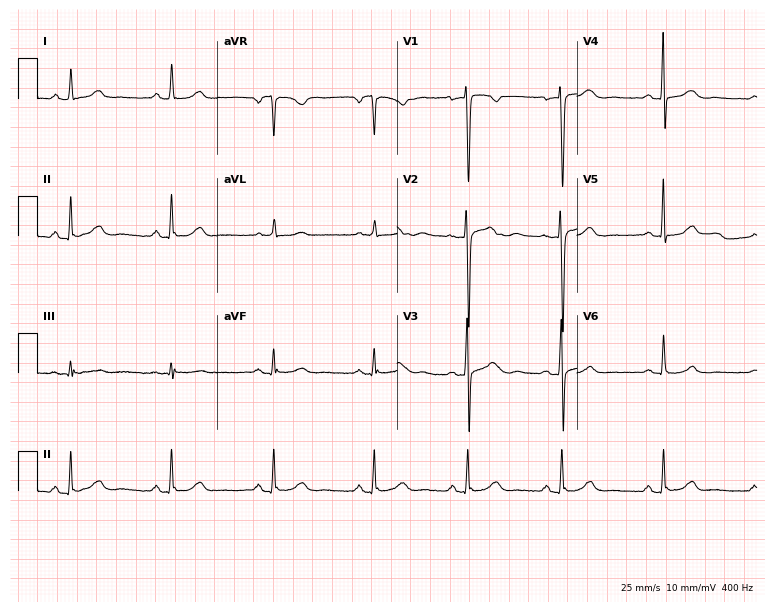
Standard 12-lead ECG recorded from a woman, 40 years old (7.3-second recording at 400 Hz). None of these six findings is recorded: first-degree AV block, right bundle branch block, left bundle branch block, sinus bradycardia, atrial fibrillation, sinus tachycardia.